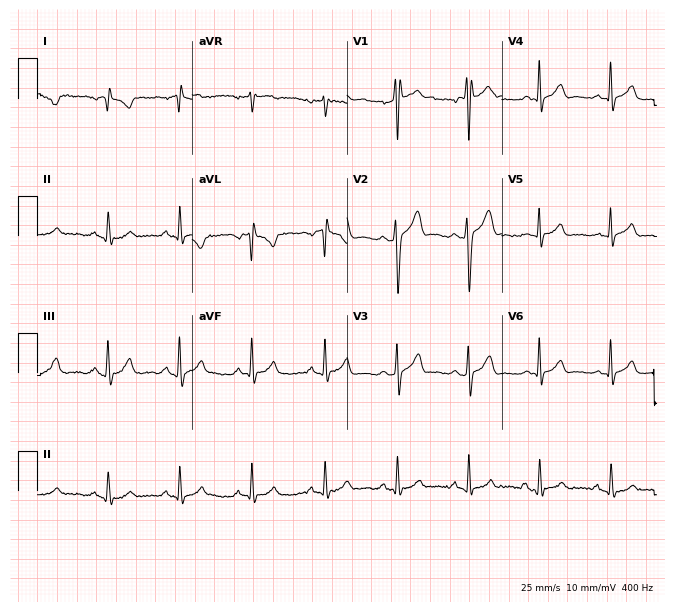
12-lead ECG from a male, 23 years old. No first-degree AV block, right bundle branch block, left bundle branch block, sinus bradycardia, atrial fibrillation or sinus tachycardia recorded for this tracing. Only these six findings were labelled.